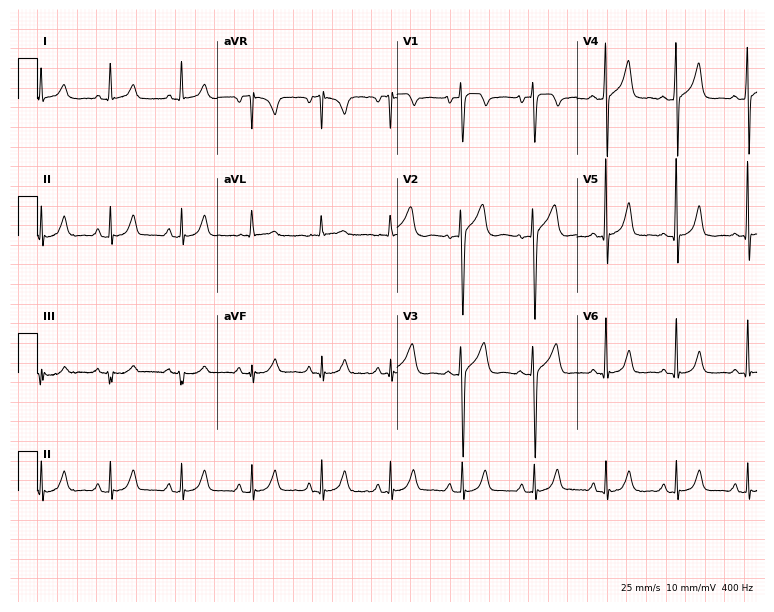
Standard 12-lead ECG recorded from a 53-year-old male (7.3-second recording at 400 Hz). Read as a normal ECG.